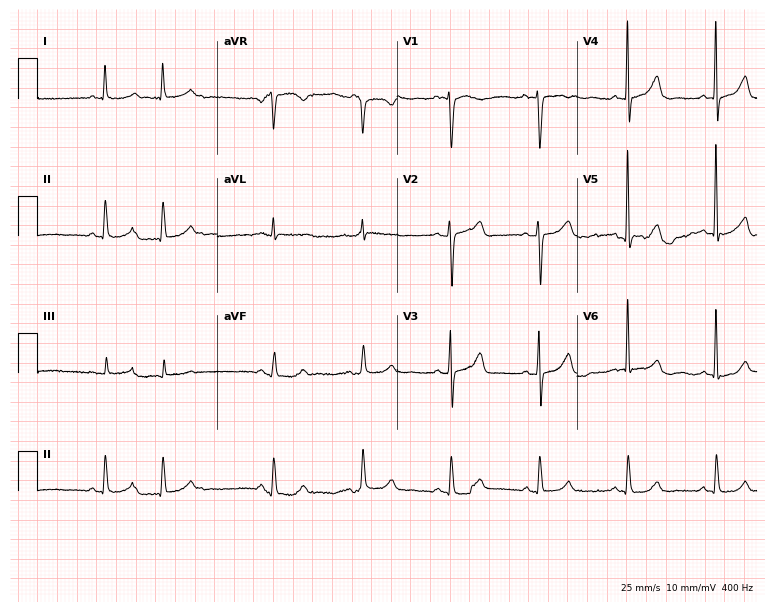
12-lead ECG from an 84-year-old male. No first-degree AV block, right bundle branch block (RBBB), left bundle branch block (LBBB), sinus bradycardia, atrial fibrillation (AF) or sinus tachycardia recorded for this tracing. Only these six findings were labelled.